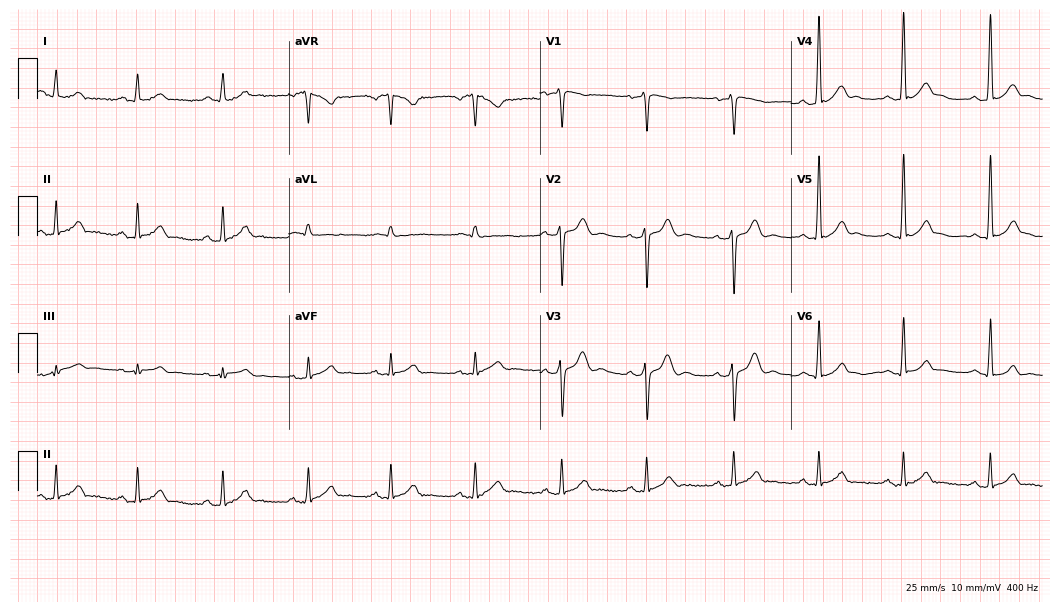
ECG (10.2-second recording at 400 Hz) — a man, 25 years old. Labelled as a normal ECG.